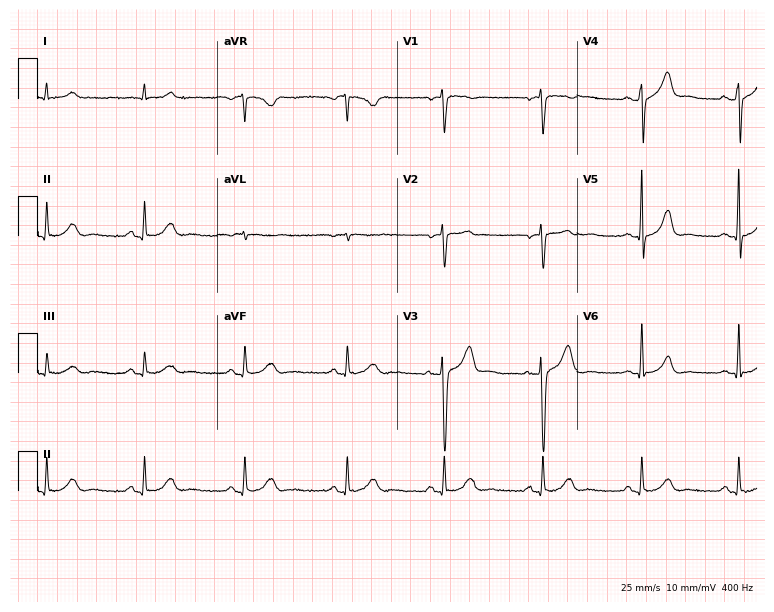
12-lead ECG from a male, 47 years old. Labelled as a normal ECG.